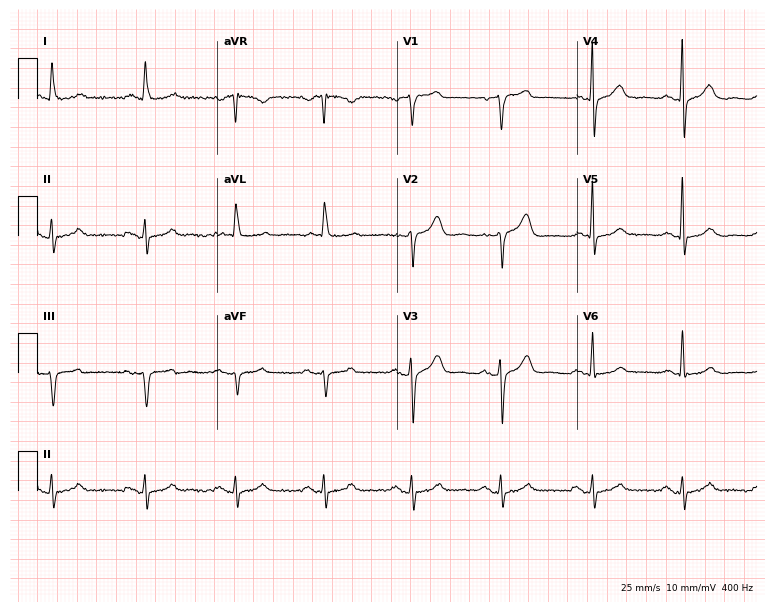
Electrocardiogram (7.3-second recording at 400 Hz), a male patient, 83 years old. Overall reading on record: normal ECG.